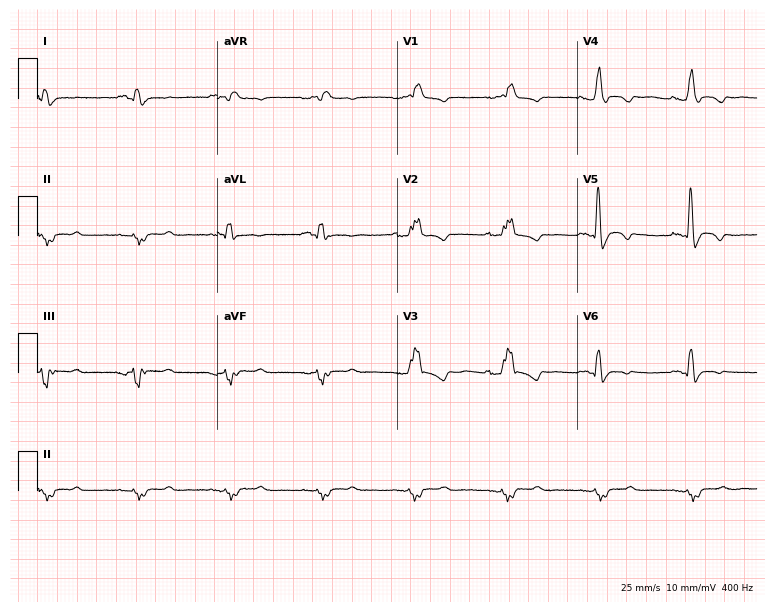
12-lead ECG (7.3-second recording at 400 Hz) from a male, 71 years old. Findings include right bundle branch block (RBBB).